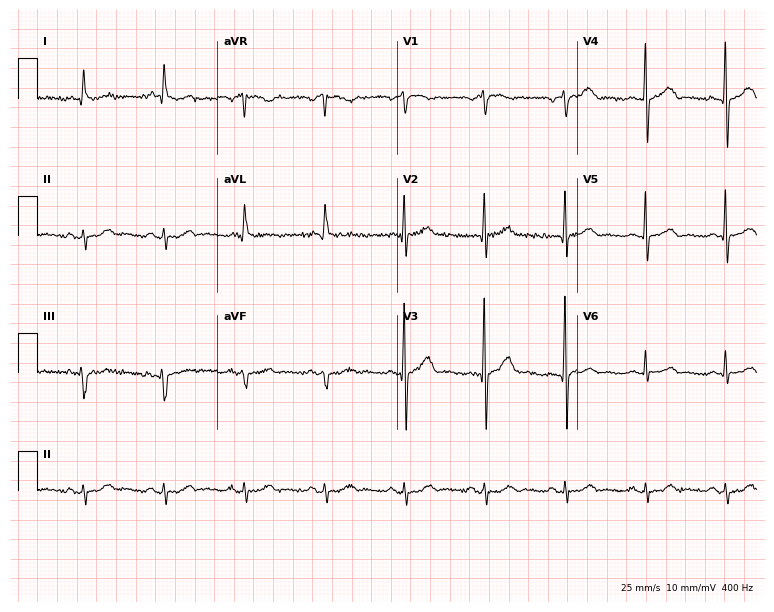
12-lead ECG (7.3-second recording at 400 Hz) from a male, 79 years old. Screened for six findings — first-degree AV block, right bundle branch block, left bundle branch block, sinus bradycardia, atrial fibrillation, sinus tachycardia — none is recorded.